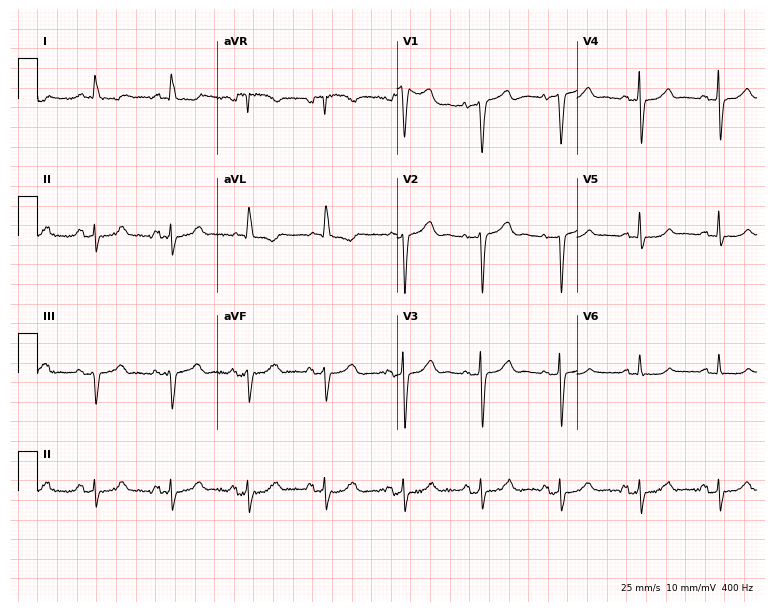
ECG — a woman, 74 years old. Screened for six findings — first-degree AV block, right bundle branch block (RBBB), left bundle branch block (LBBB), sinus bradycardia, atrial fibrillation (AF), sinus tachycardia — none is recorded.